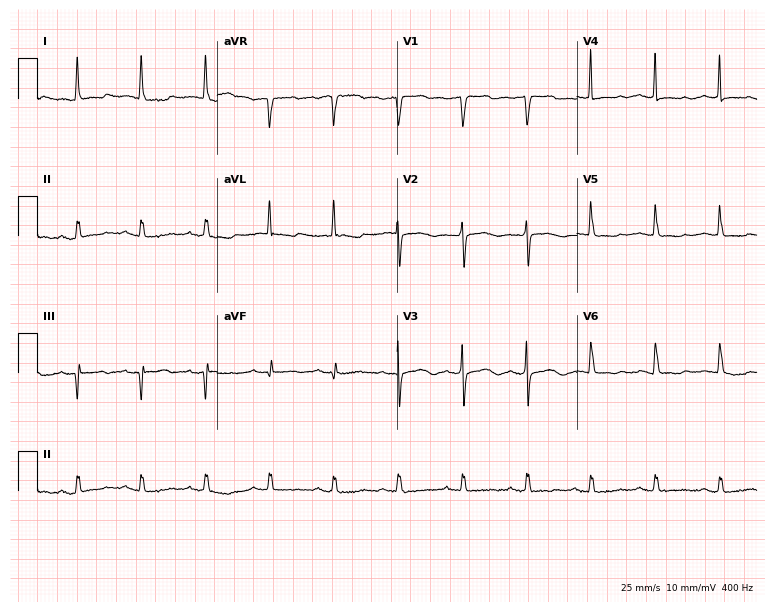
Electrocardiogram, a woman, 61 years old. Interpretation includes atrial fibrillation (AF).